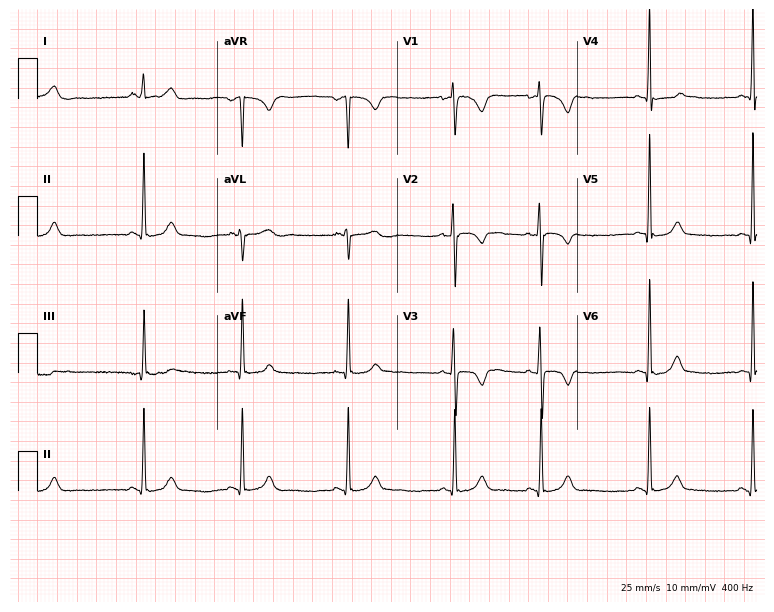
ECG (7.3-second recording at 400 Hz) — a female patient, 19 years old. Labelled as a normal ECG.